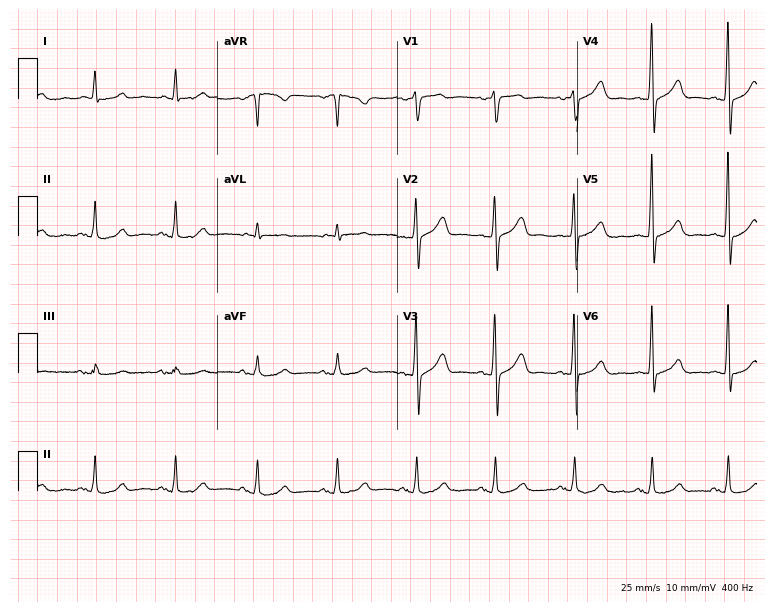
Standard 12-lead ECG recorded from a 73-year-old male. Read as a normal ECG.